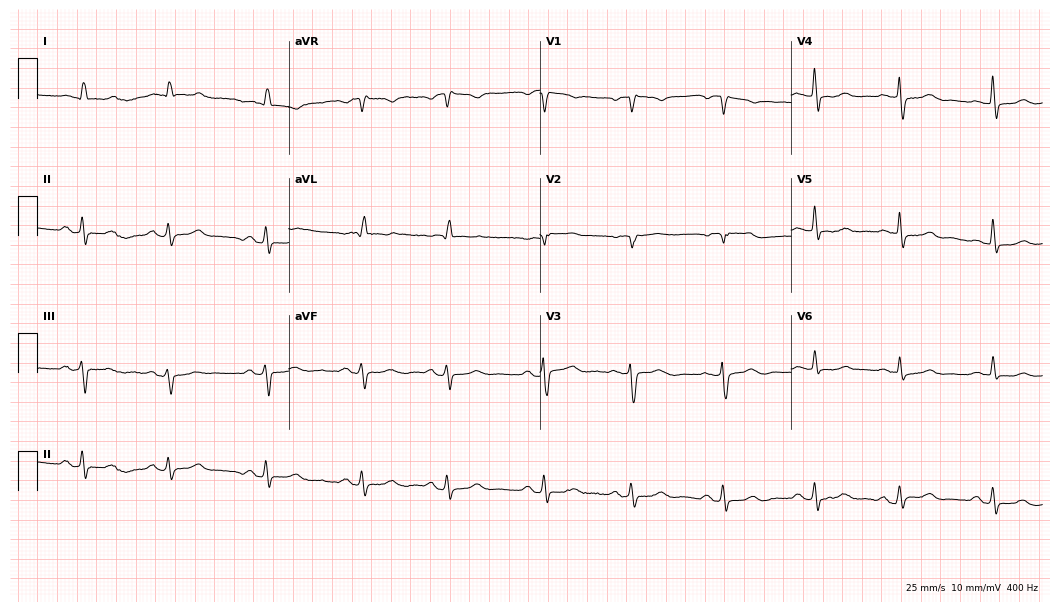
Resting 12-lead electrocardiogram. Patient: a female, 77 years old. None of these six findings is recorded: first-degree AV block, right bundle branch block, left bundle branch block, sinus bradycardia, atrial fibrillation, sinus tachycardia.